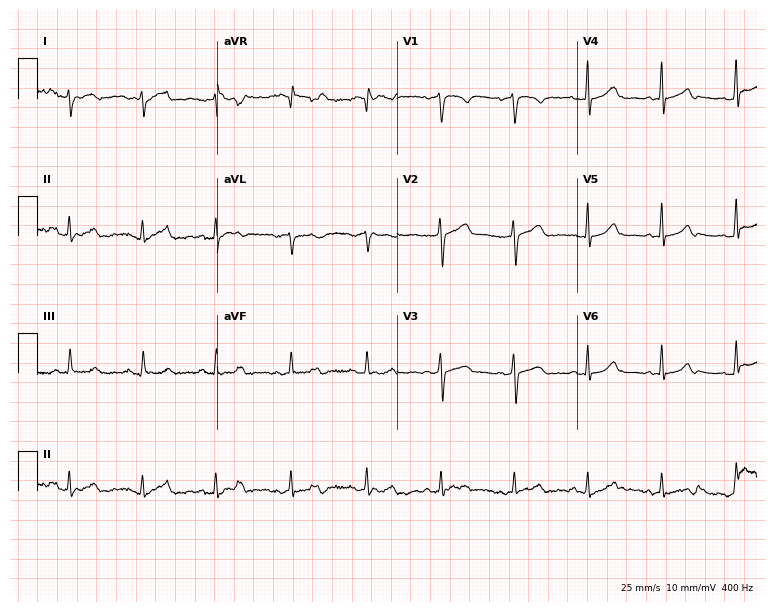
ECG — a female patient, 39 years old. Screened for six findings — first-degree AV block, right bundle branch block, left bundle branch block, sinus bradycardia, atrial fibrillation, sinus tachycardia — none is recorded. Other findings, if any, are not listed.